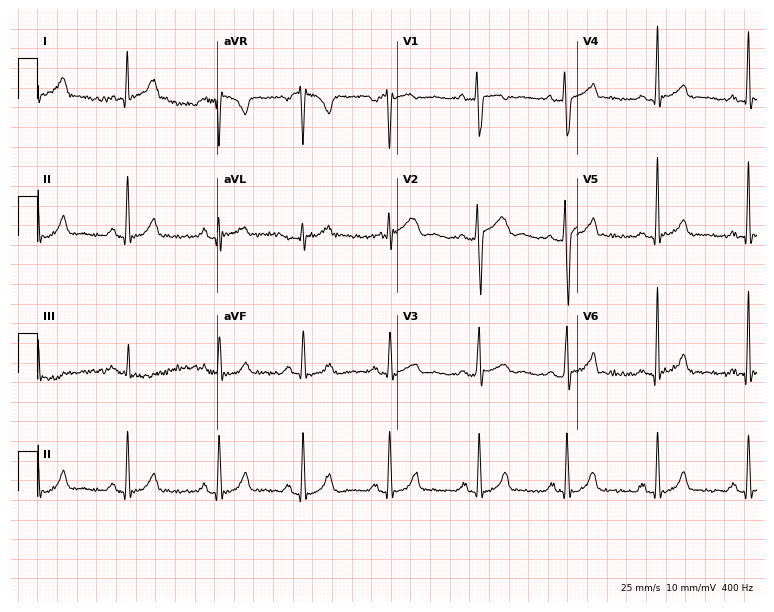
Electrocardiogram (7.3-second recording at 400 Hz), a man, 24 years old. Overall reading on record: normal ECG.